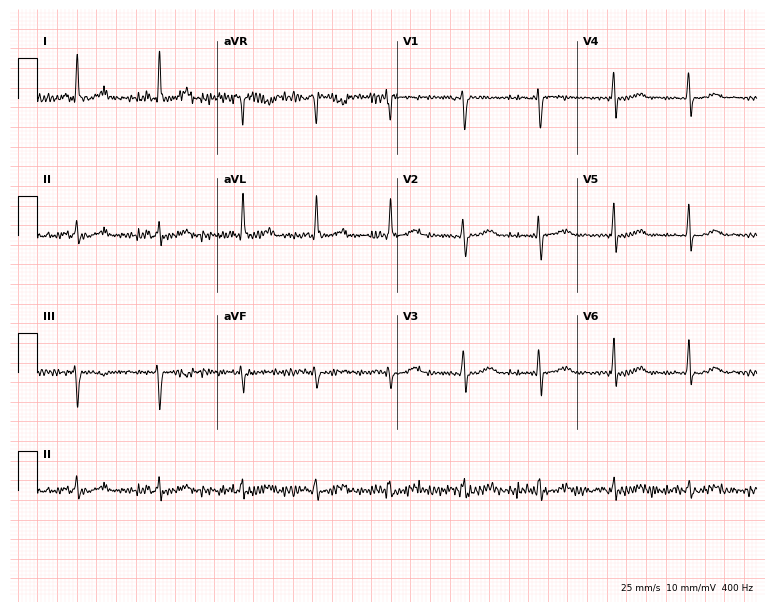
12-lead ECG from a 44-year-old woman (7.3-second recording at 400 Hz). No first-degree AV block, right bundle branch block, left bundle branch block, sinus bradycardia, atrial fibrillation or sinus tachycardia recorded for this tracing. Only these six findings were labelled.